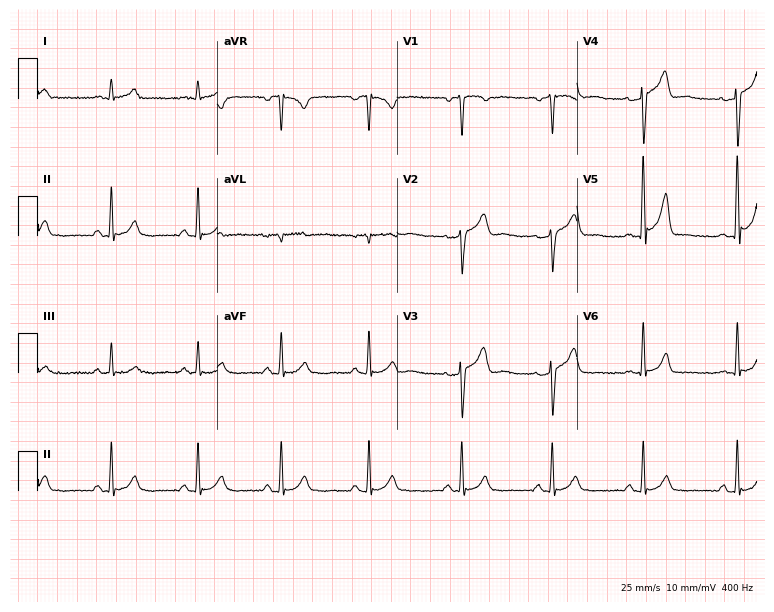
Electrocardiogram, a male patient, 45 years old. Overall reading on record: normal ECG.